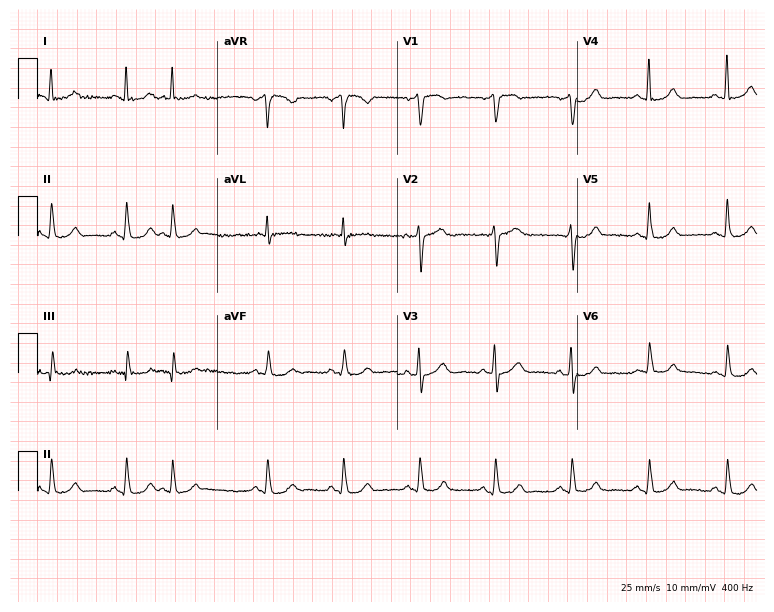
12-lead ECG from a woman, 76 years old. Labelled as a normal ECG.